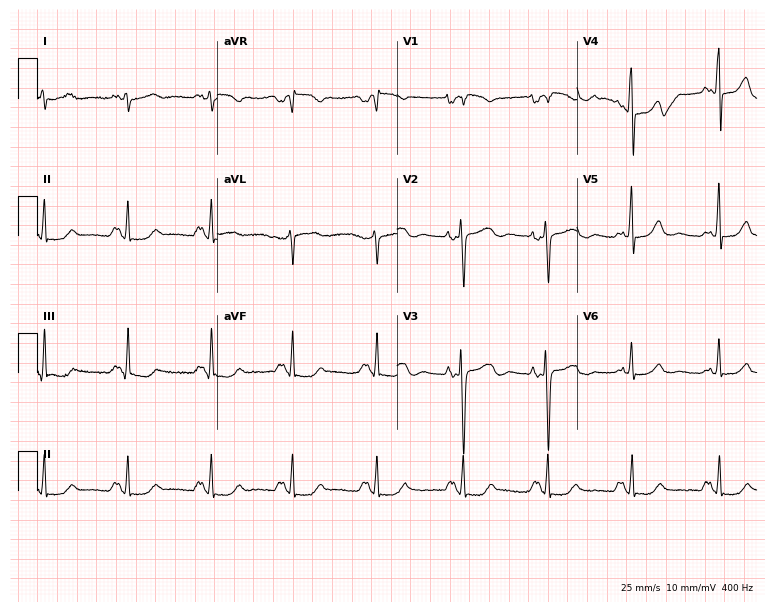
Standard 12-lead ECG recorded from a 39-year-old female (7.3-second recording at 400 Hz). None of these six findings is recorded: first-degree AV block, right bundle branch block (RBBB), left bundle branch block (LBBB), sinus bradycardia, atrial fibrillation (AF), sinus tachycardia. Findings outside these six are not listed.